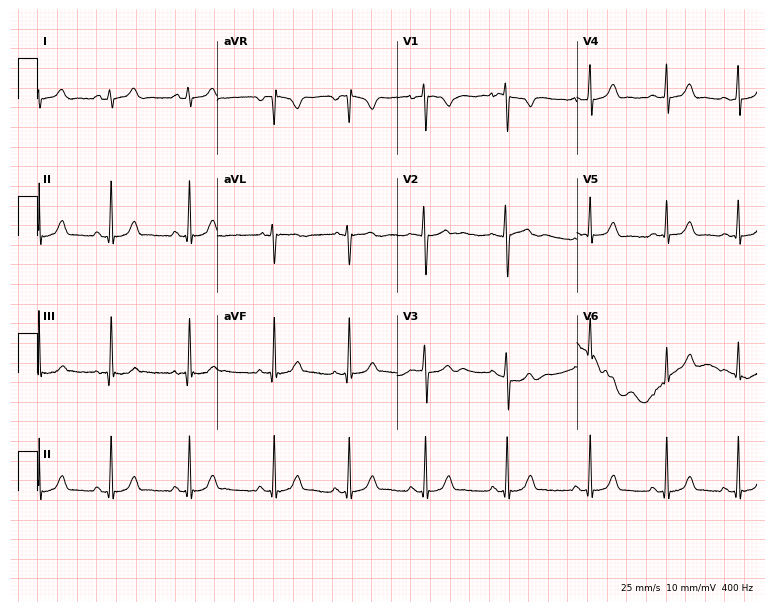
12-lead ECG from an 18-year-old woman (7.3-second recording at 400 Hz). Recorded interpretation: within normal limits.